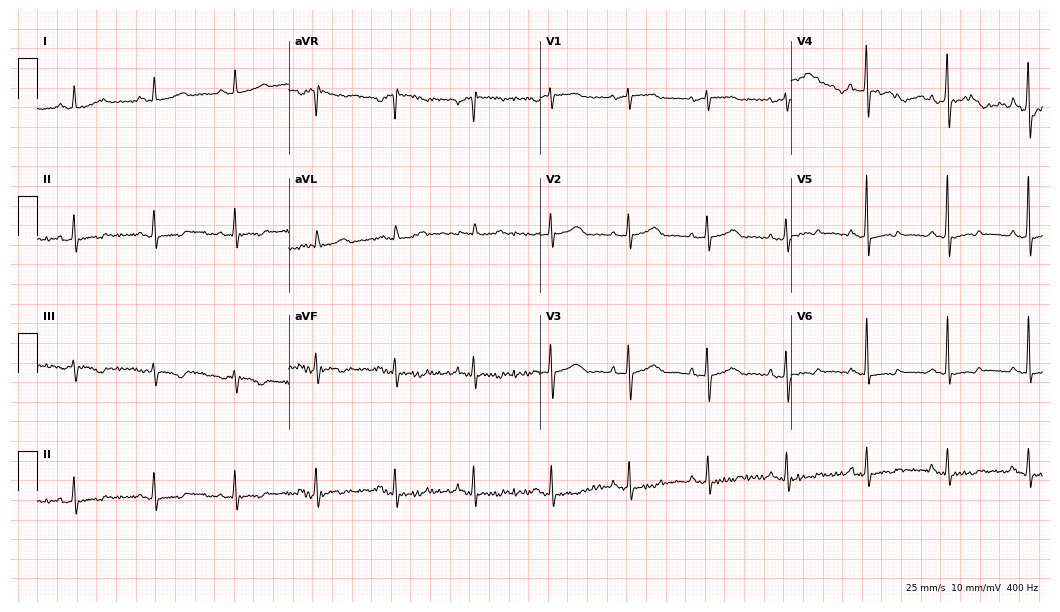
Standard 12-lead ECG recorded from an 84-year-old female patient. None of these six findings is recorded: first-degree AV block, right bundle branch block, left bundle branch block, sinus bradycardia, atrial fibrillation, sinus tachycardia. Findings outside these six are not listed.